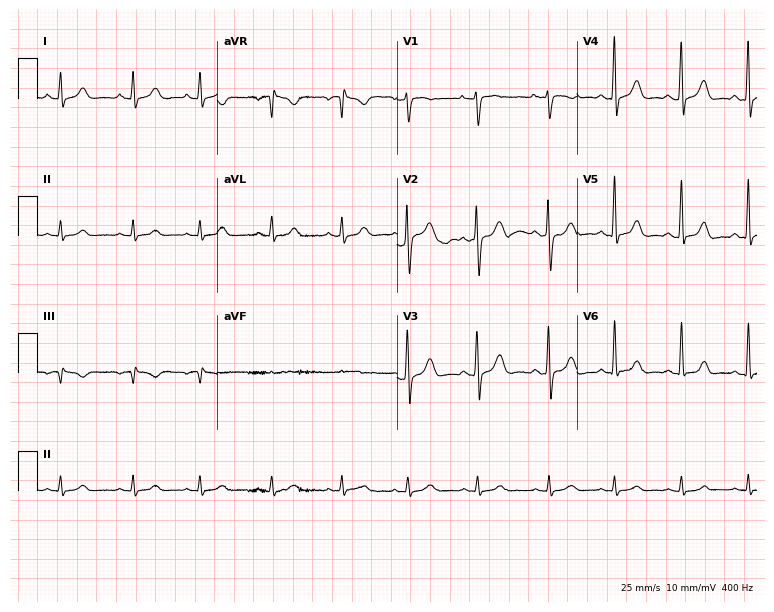
12-lead ECG from a woman, 22 years old. Labelled as a normal ECG.